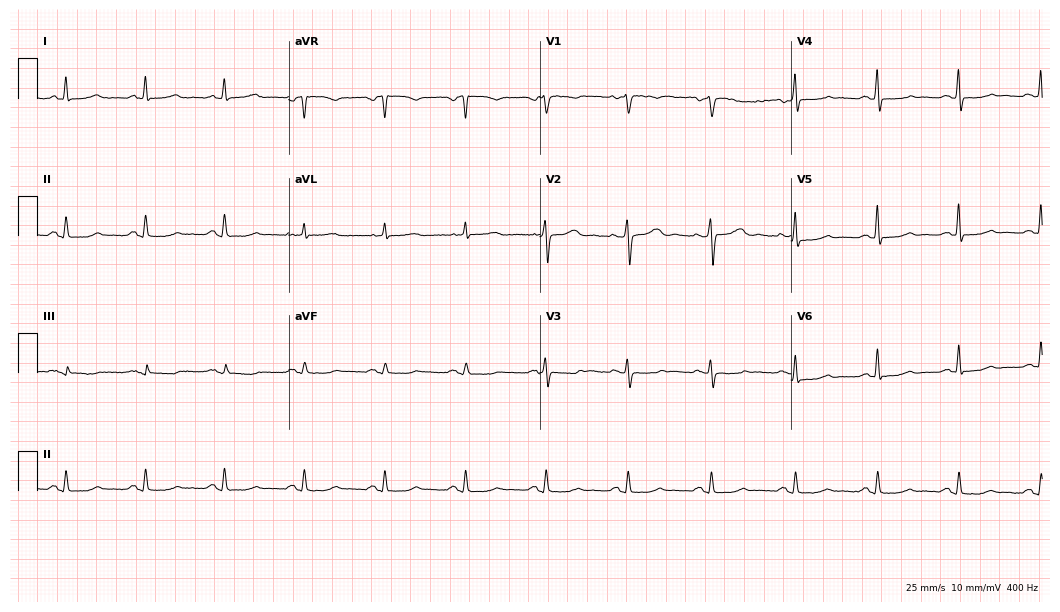
12-lead ECG from a 63-year-old woman (10.2-second recording at 400 Hz). No first-degree AV block, right bundle branch block (RBBB), left bundle branch block (LBBB), sinus bradycardia, atrial fibrillation (AF) or sinus tachycardia recorded for this tracing.